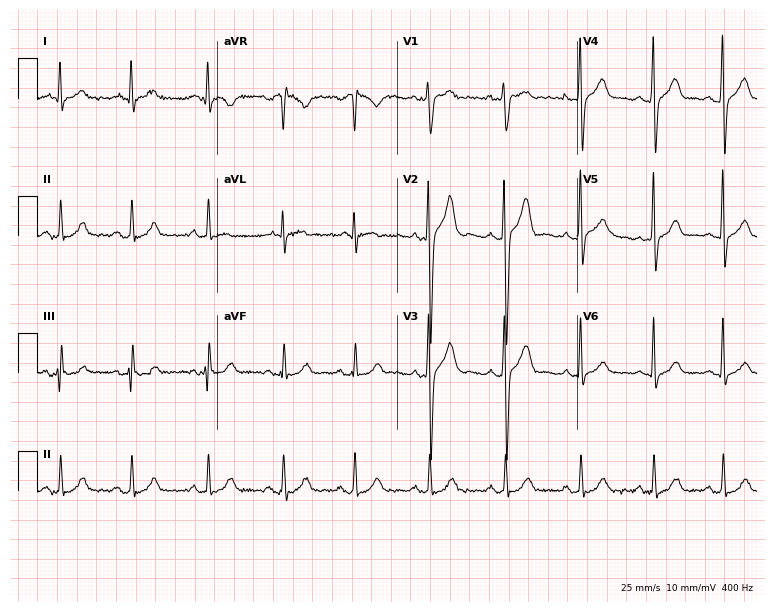
Standard 12-lead ECG recorded from a 24-year-old male (7.3-second recording at 400 Hz). Read as a normal ECG.